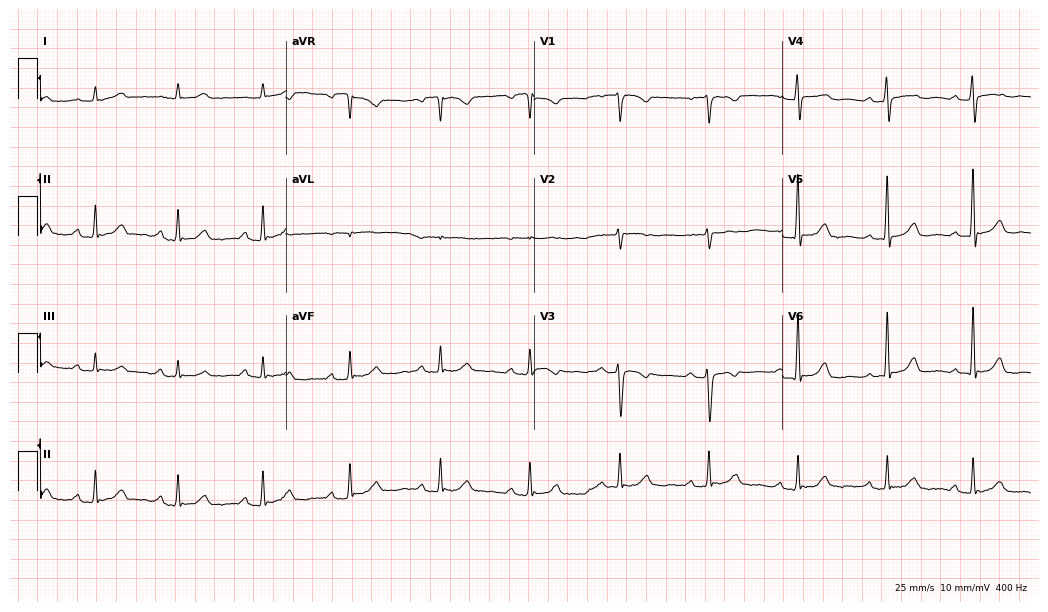
Standard 12-lead ECG recorded from a female, 49 years old. Read as a normal ECG.